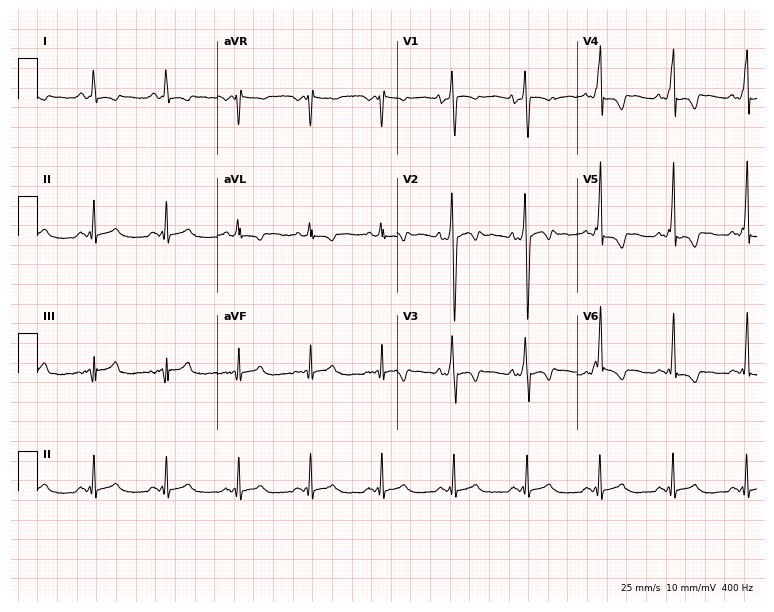
12-lead ECG from a 21-year-old male patient (7.3-second recording at 400 Hz). No first-degree AV block, right bundle branch block (RBBB), left bundle branch block (LBBB), sinus bradycardia, atrial fibrillation (AF) or sinus tachycardia recorded for this tracing. Other findings, if any, are not listed.